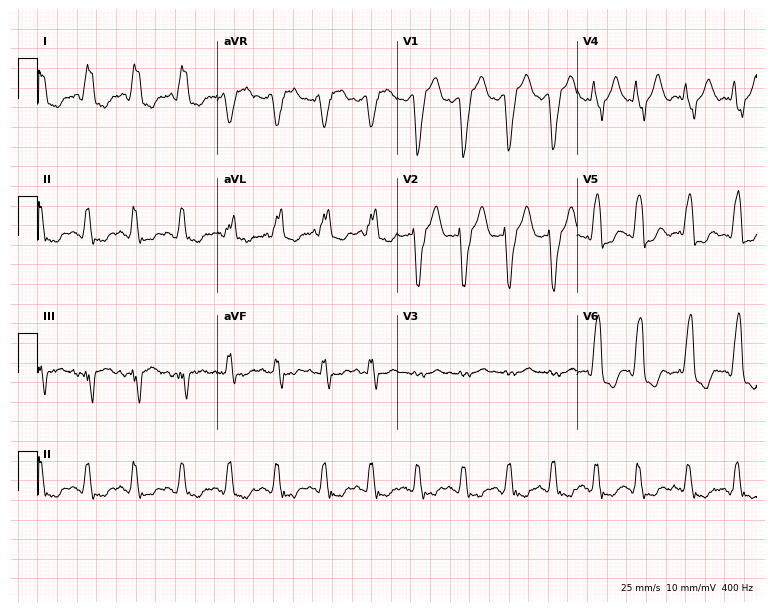
Resting 12-lead electrocardiogram. Patient: a female, 75 years old. The tracing shows left bundle branch block, atrial fibrillation.